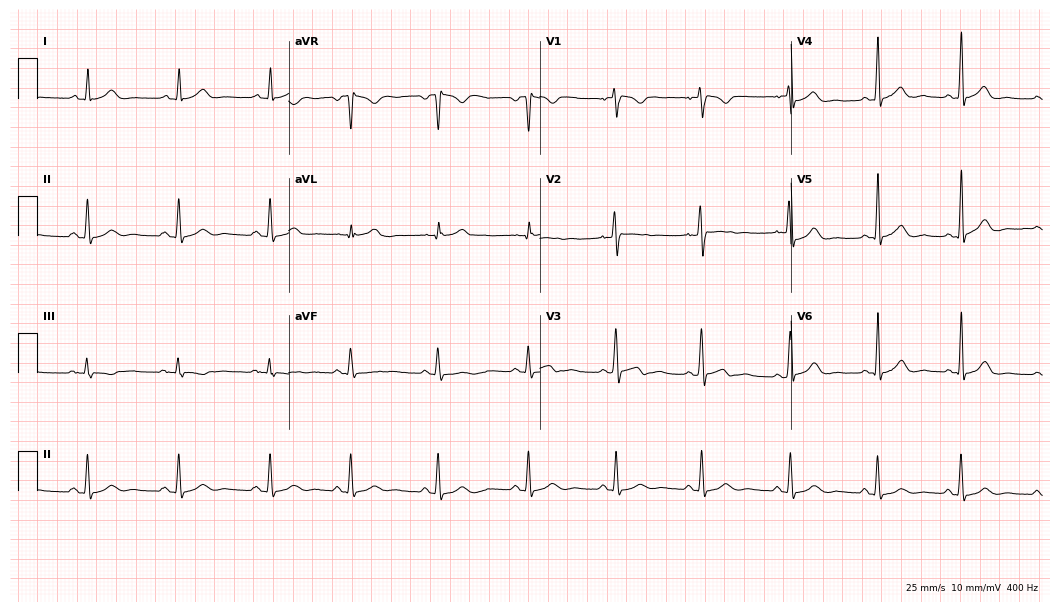
12-lead ECG from a 32-year-old woman. Recorded interpretation: within normal limits.